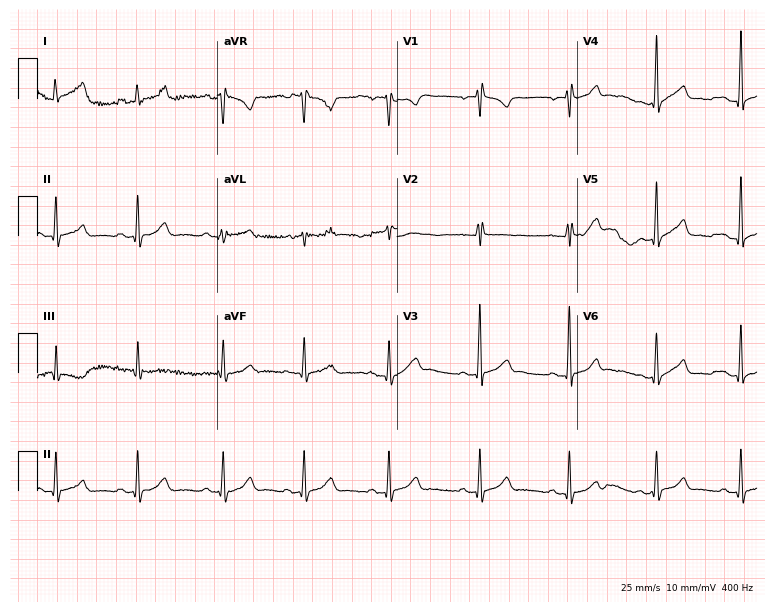
Electrocardiogram, a female patient, 26 years old. Of the six screened findings (first-degree AV block, right bundle branch block (RBBB), left bundle branch block (LBBB), sinus bradycardia, atrial fibrillation (AF), sinus tachycardia), none is recorded. Findings outside these six are not listed.